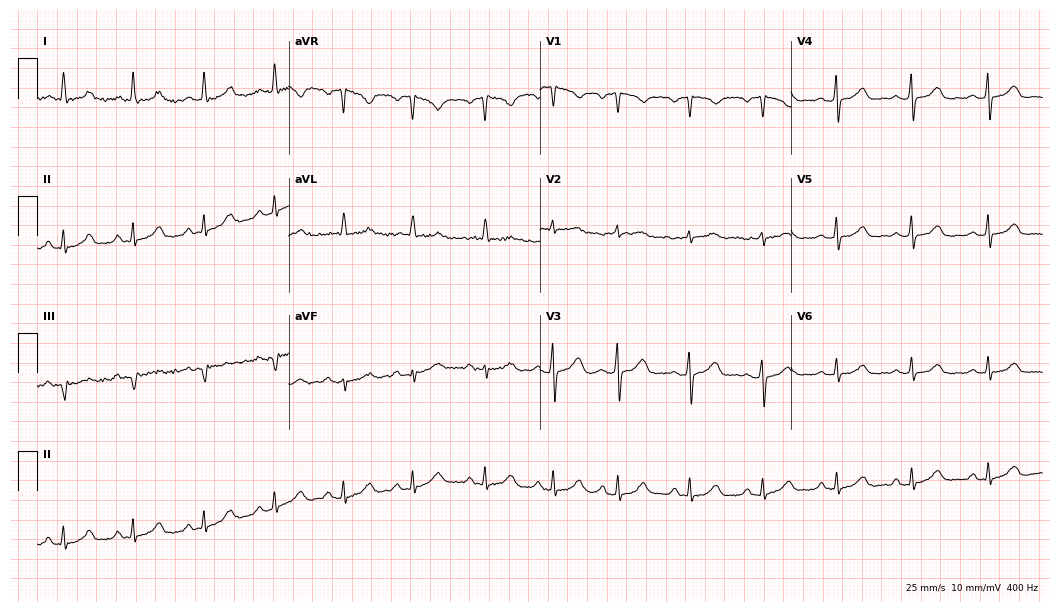
Resting 12-lead electrocardiogram (10.2-second recording at 400 Hz). Patient: a 68-year-old woman. Read as a normal ECG.